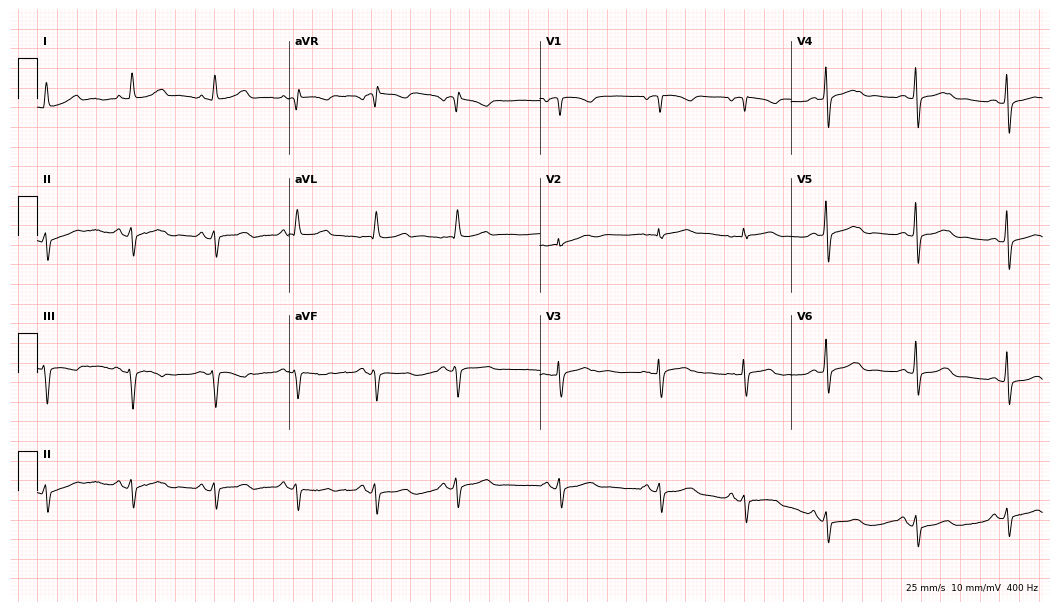
12-lead ECG from a 61-year-old woman. No first-degree AV block, right bundle branch block, left bundle branch block, sinus bradycardia, atrial fibrillation or sinus tachycardia recorded for this tracing. Only these six findings were labelled.